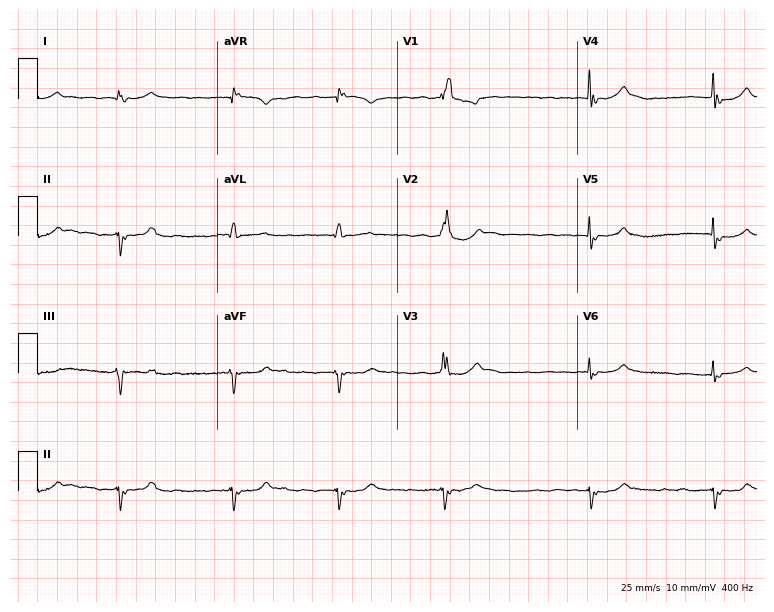
Resting 12-lead electrocardiogram. Patient: an 81-year-old woman. The tracing shows right bundle branch block, atrial fibrillation.